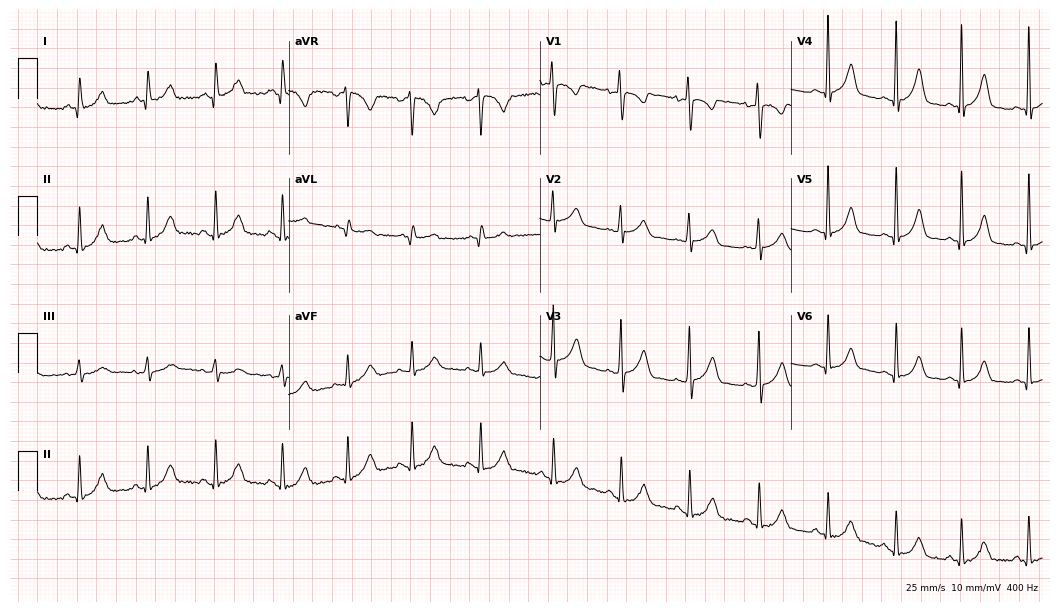
12-lead ECG from a woman, 22 years old. Screened for six findings — first-degree AV block, right bundle branch block (RBBB), left bundle branch block (LBBB), sinus bradycardia, atrial fibrillation (AF), sinus tachycardia — none is recorded.